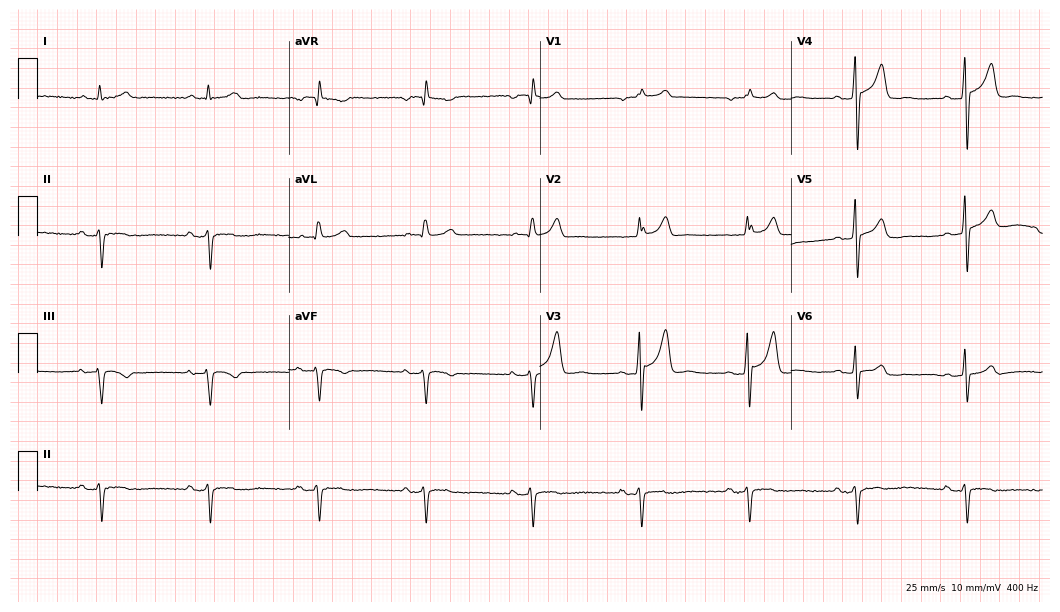
Electrocardiogram (10.2-second recording at 400 Hz), a 63-year-old male. Of the six screened findings (first-degree AV block, right bundle branch block, left bundle branch block, sinus bradycardia, atrial fibrillation, sinus tachycardia), none is recorded. Other findings, if any, are not listed.